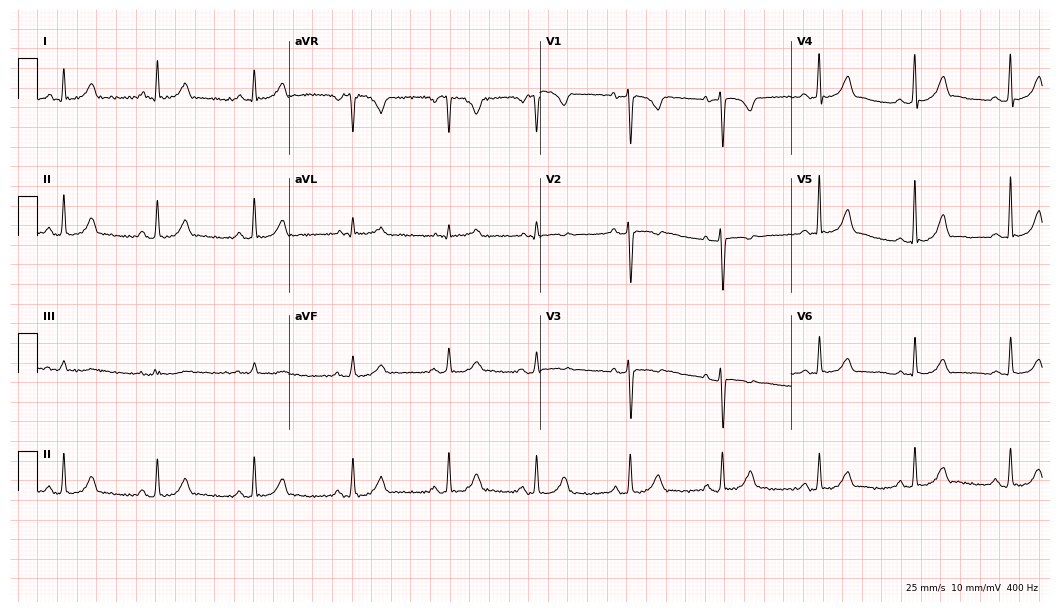
Standard 12-lead ECG recorded from a female patient, 35 years old (10.2-second recording at 400 Hz). Read as a normal ECG.